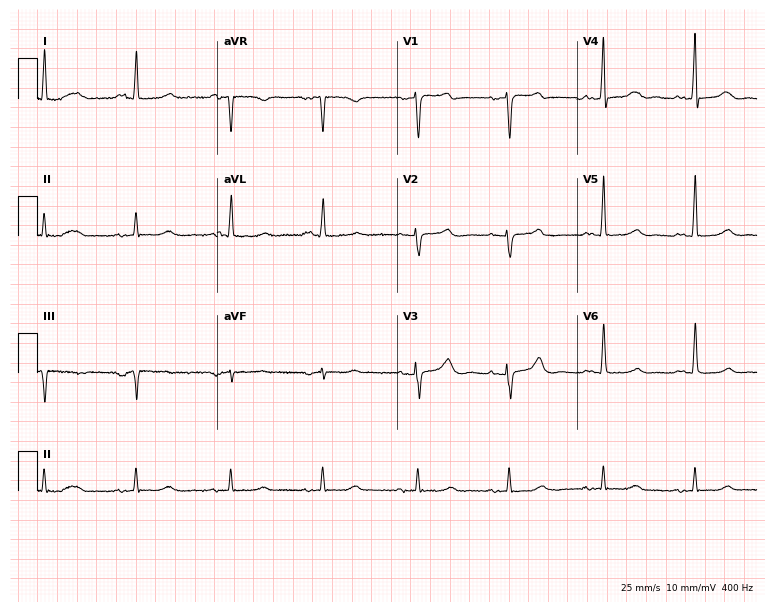
12-lead ECG from a female patient, 79 years old. No first-degree AV block, right bundle branch block, left bundle branch block, sinus bradycardia, atrial fibrillation or sinus tachycardia recorded for this tracing.